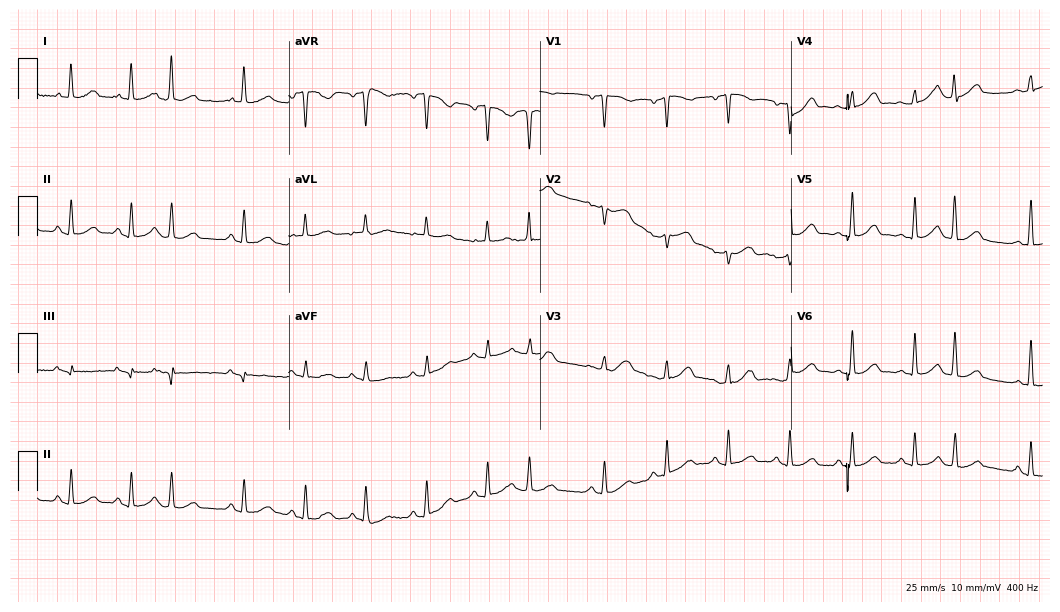
Resting 12-lead electrocardiogram. Patient: a 57-year-old female. None of these six findings is recorded: first-degree AV block, right bundle branch block (RBBB), left bundle branch block (LBBB), sinus bradycardia, atrial fibrillation (AF), sinus tachycardia. Other findings, if any, are not listed.